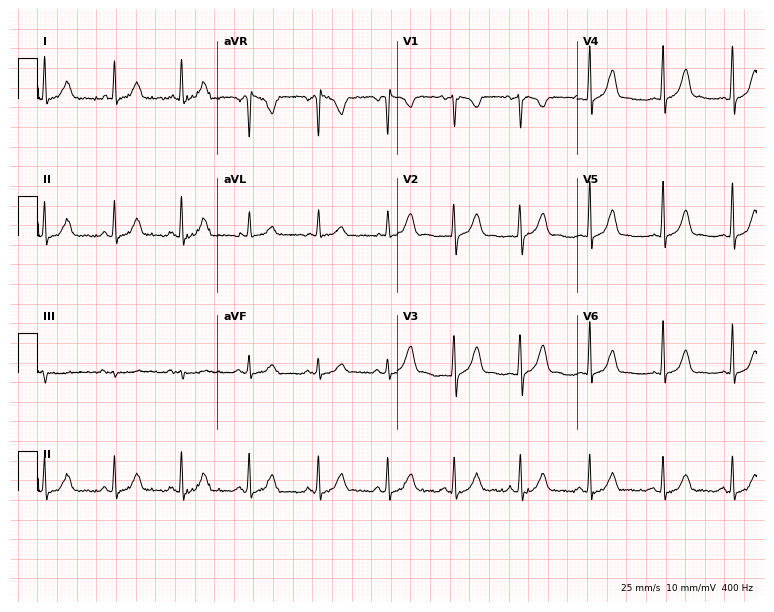
ECG (7.3-second recording at 400 Hz) — a male patient, 22 years old. Labelled as a normal ECG.